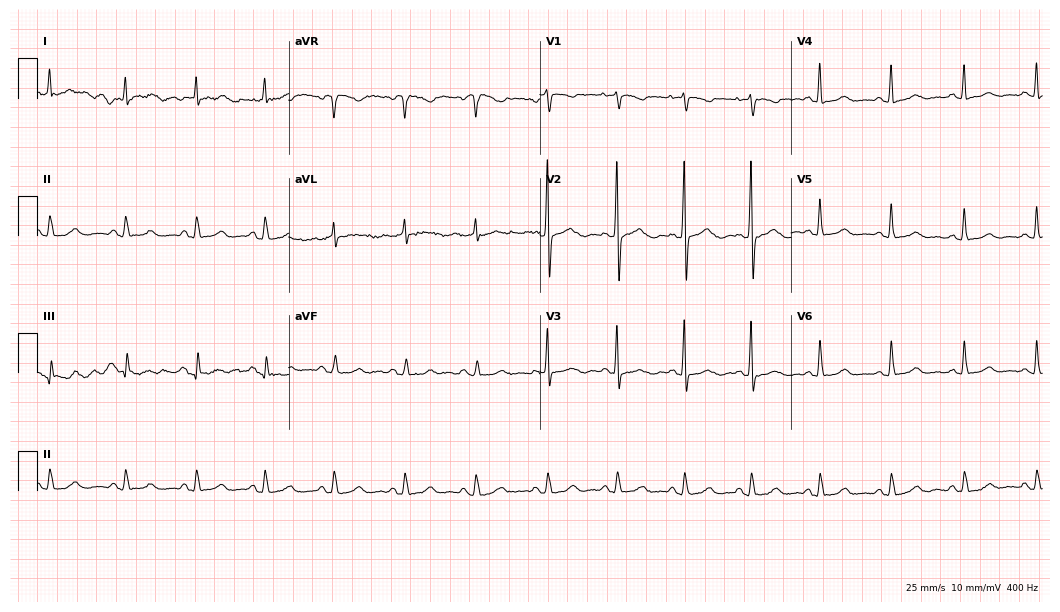
Resting 12-lead electrocardiogram. Patient: a female, 72 years old. Read as a normal ECG.